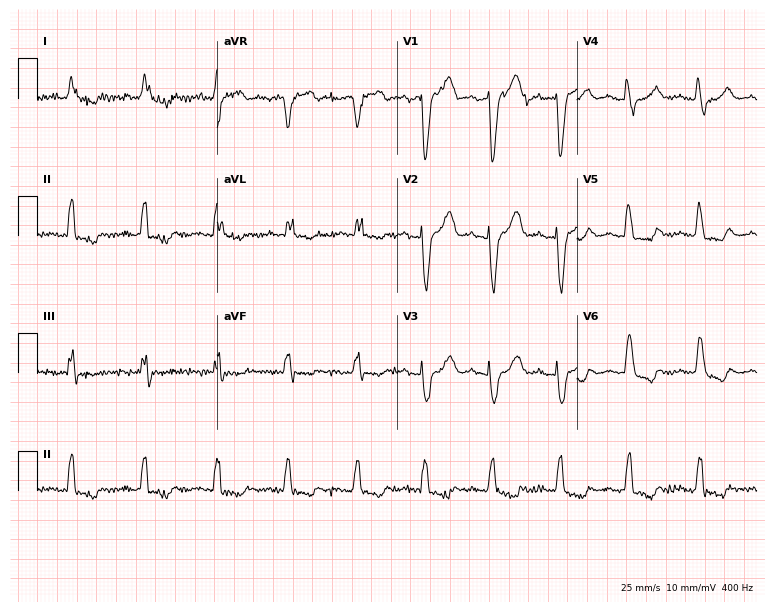
Standard 12-lead ECG recorded from a female patient, 84 years old (7.3-second recording at 400 Hz). None of these six findings is recorded: first-degree AV block, right bundle branch block (RBBB), left bundle branch block (LBBB), sinus bradycardia, atrial fibrillation (AF), sinus tachycardia.